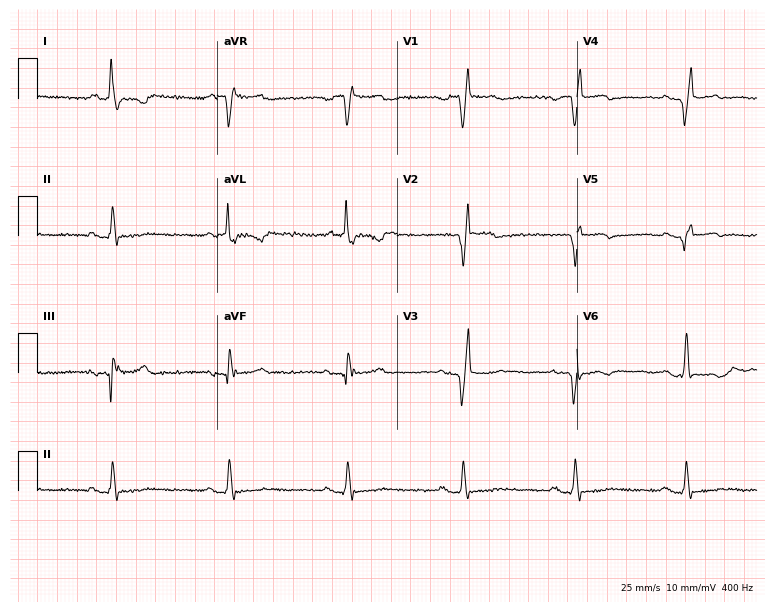
Resting 12-lead electrocardiogram (7.3-second recording at 400 Hz). Patient: a male, 64 years old. None of these six findings is recorded: first-degree AV block, right bundle branch block, left bundle branch block, sinus bradycardia, atrial fibrillation, sinus tachycardia.